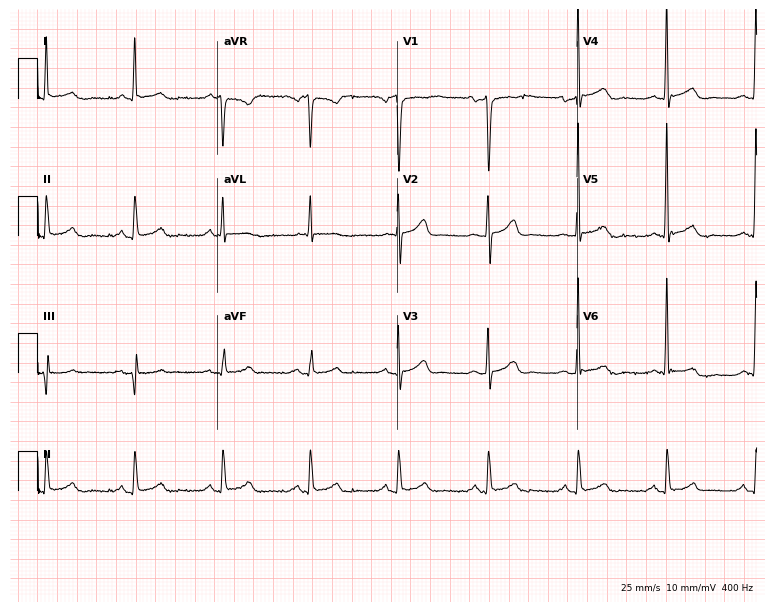
12-lead ECG from a man, 72 years old. No first-degree AV block, right bundle branch block, left bundle branch block, sinus bradycardia, atrial fibrillation or sinus tachycardia recorded for this tracing. Other findings, if any, are not listed.